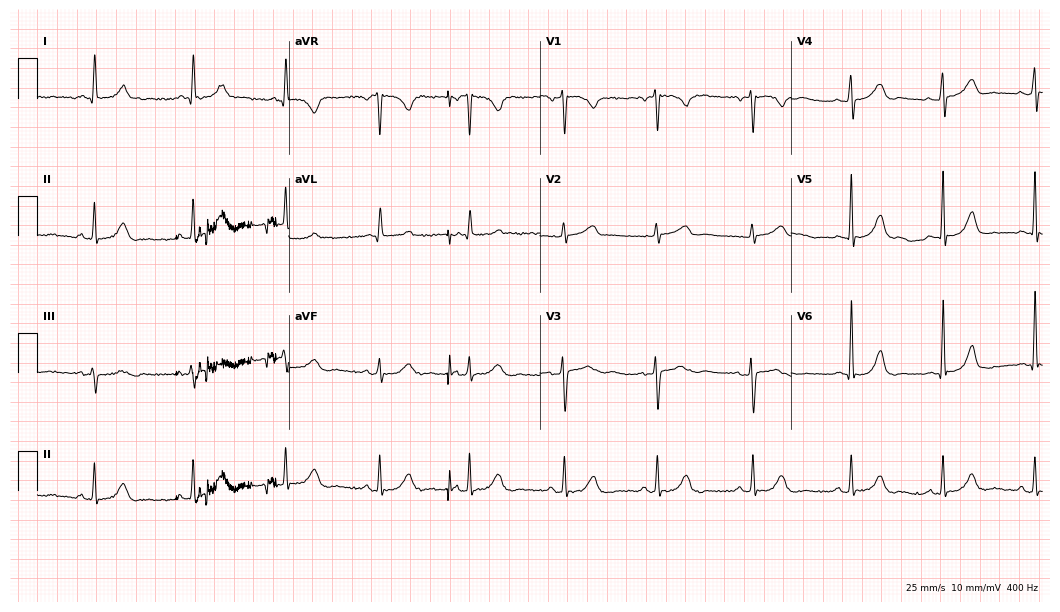
Electrocardiogram, a female patient, 66 years old. Overall reading on record: normal ECG.